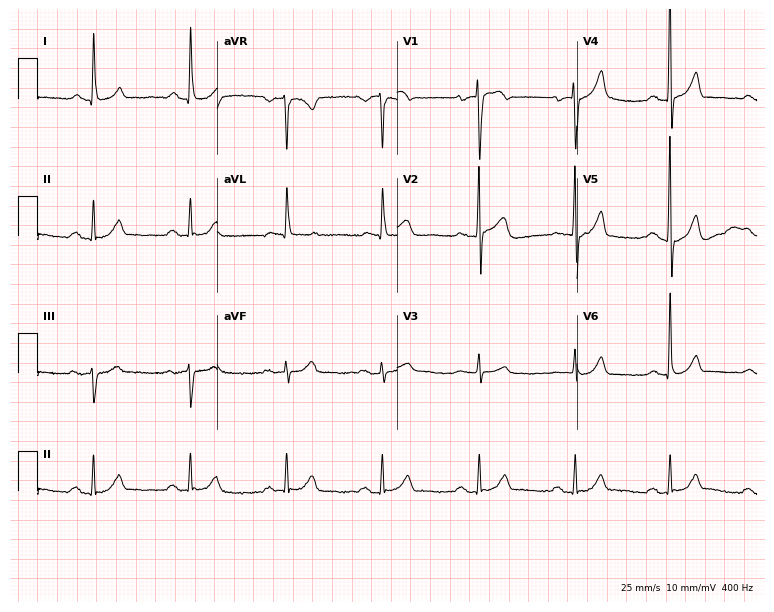
ECG — a 64-year-old female patient. Screened for six findings — first-degree AV block, right bundle branch block (RBBB), left bundle branch block (LBBB), sinus bradycardia, atrial fibrillation (AF), sinus tachycardia — none is recorded.